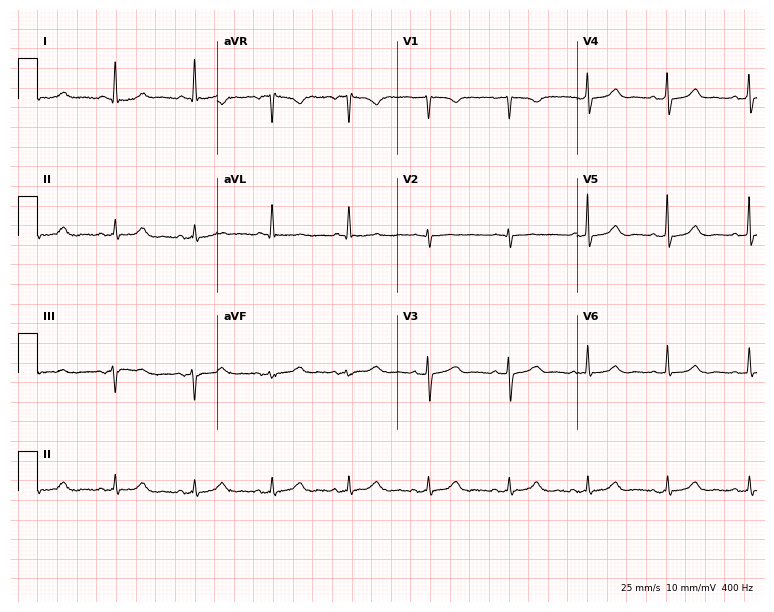
ECG (7.3-second recording at 400 Hz) — a woman, 60 years old. Labelled as a normal ECG.